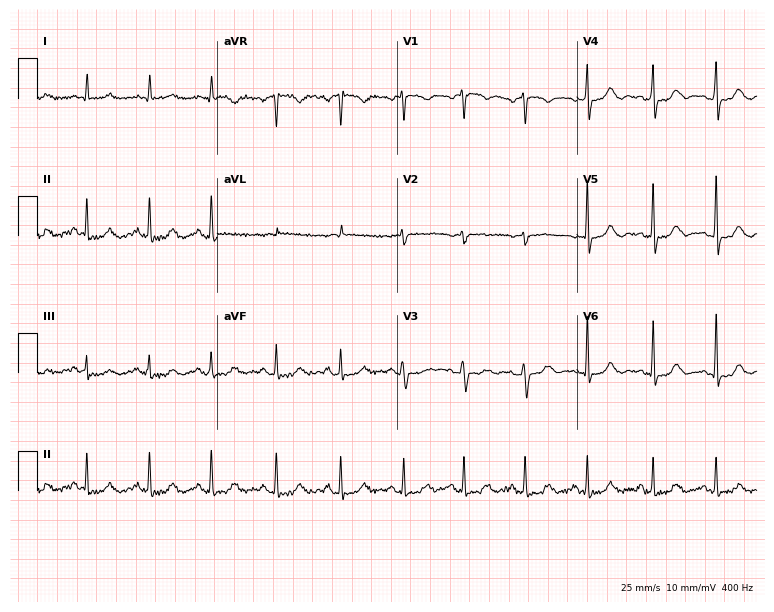
Electrocardiogram (7.3-second recording at 400 Hz), a 72-year-old woman. Overall reading on record: normal ECG.